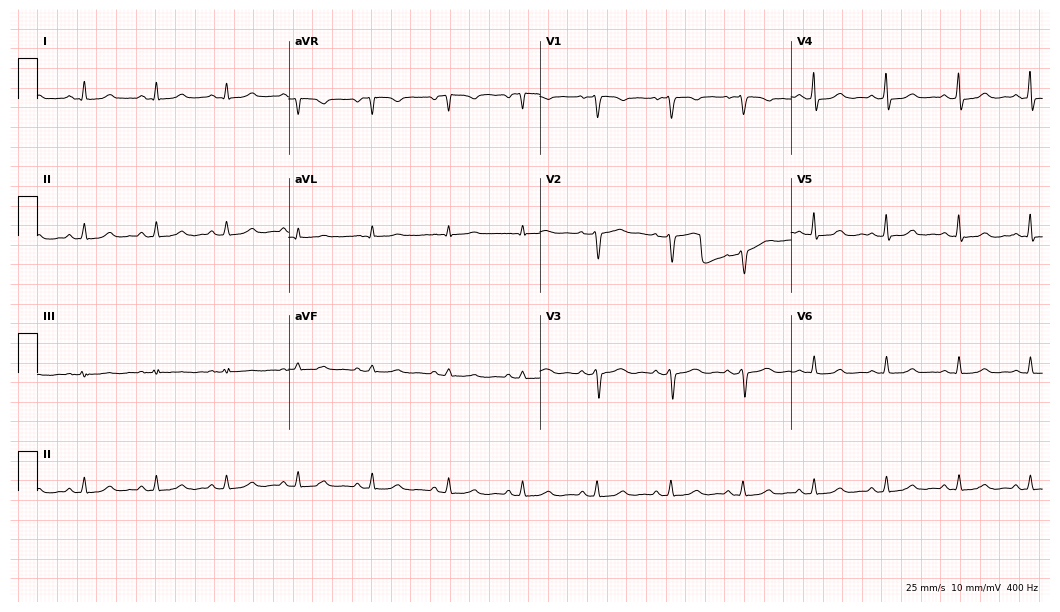
12-lead ECG (10.2-second recording at 400 Hz) from a female patient, 40 years old. Labelled as a normal ECG.